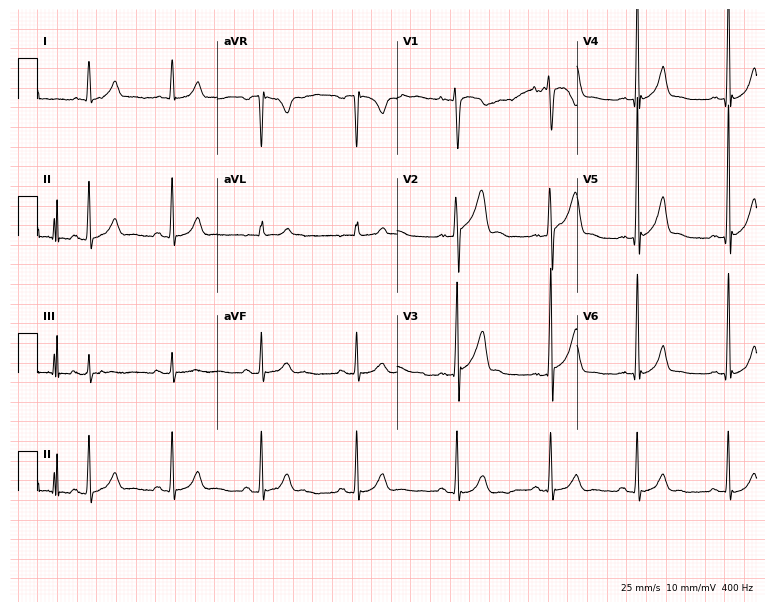
Resting 12-lead electrocardiogram. Patient: a male, 18 years old. None of these six findings is recorded: first-degree AV block, right bundle branch block (RBBB), left bundle branch block (LBBB), sinus bradycardia, atrial fibrillation (AF), sinus tachycardia. Findings outside these six are not listed.